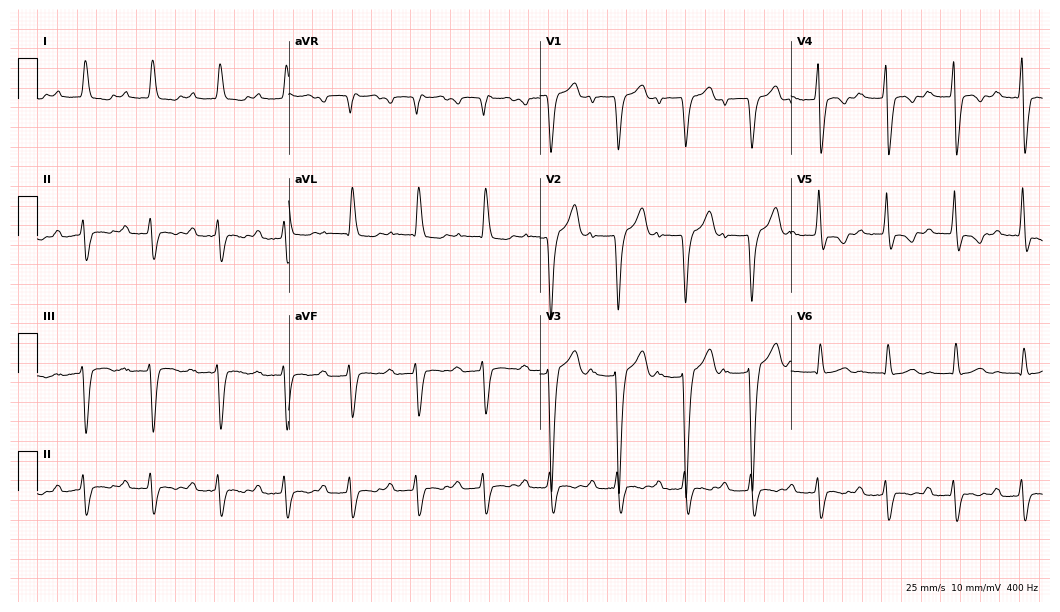
ECG (10.2-second recording at 400 Hz) — a male, 74 years old. Findings include first-degree AV block.